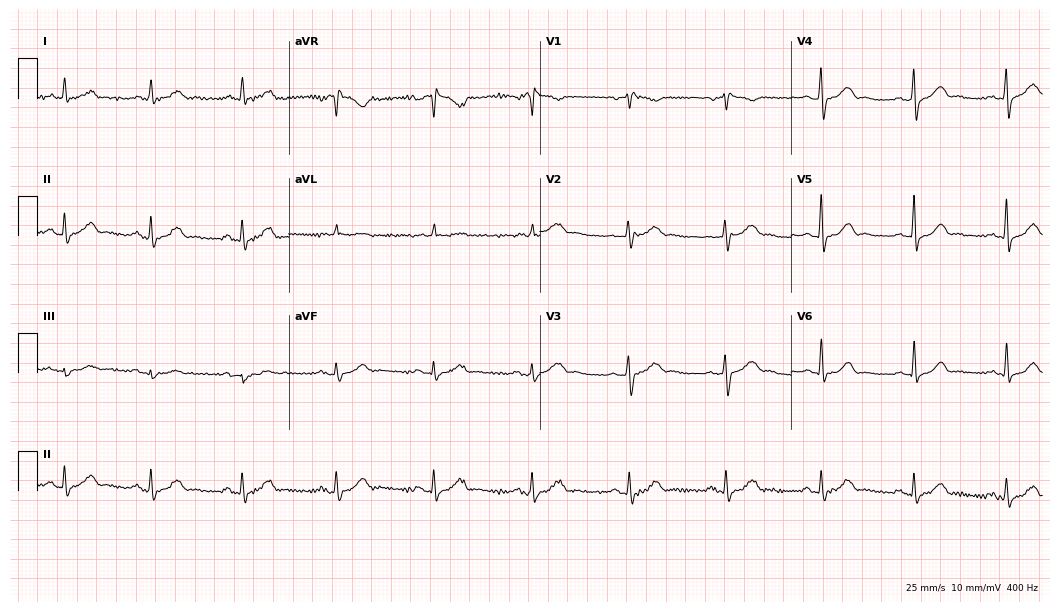
Standard 12-lead ECG recorded from a 62-year-old male patient. None of these six findings is recorded: first-degree AV block, right bundle branch block (RBBB), left bundle branch block (LBBB), sinus bradycardia, atrial fibrillation (AF), sinus tachycardia.